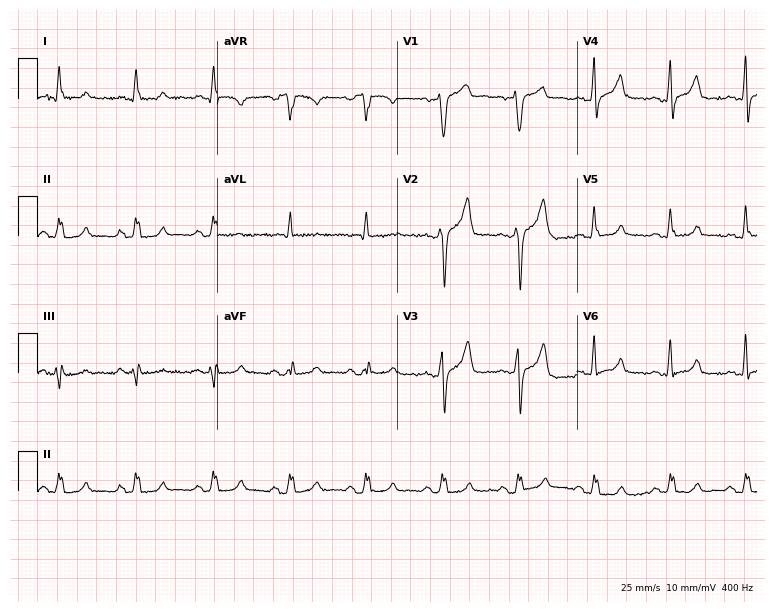
12-lead ECG from a male, 52 years old. Labelled as a normal ECG.